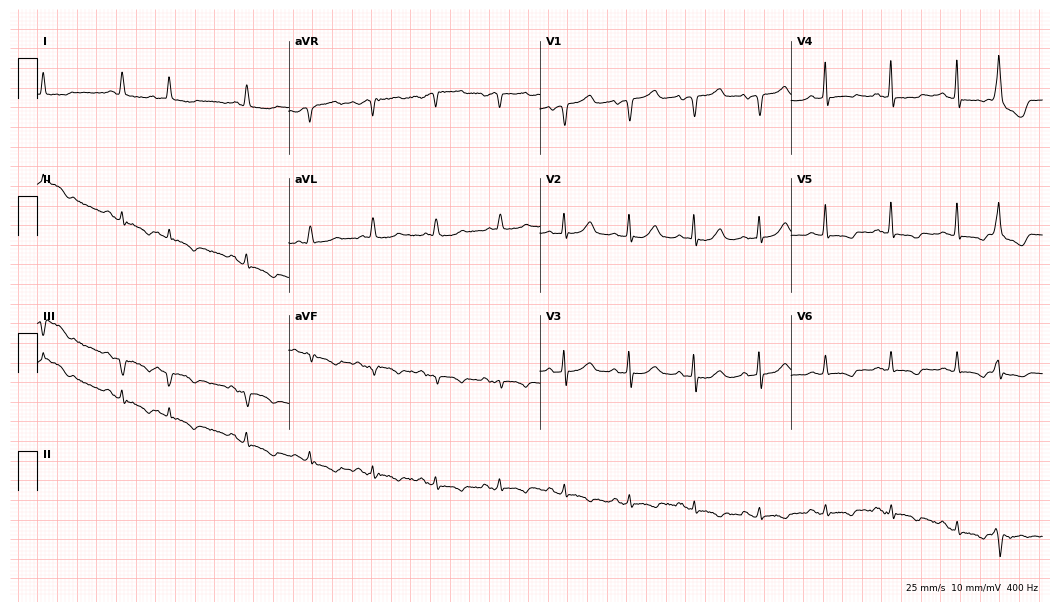
12-lead ECG from an 80-year-old female patient. Screened for six findings — first-degree AV block, right bundle branch block, left bundle branch block, sinus bradycardia, atrial fibrillation, sinus tachycardia — none is recorded.